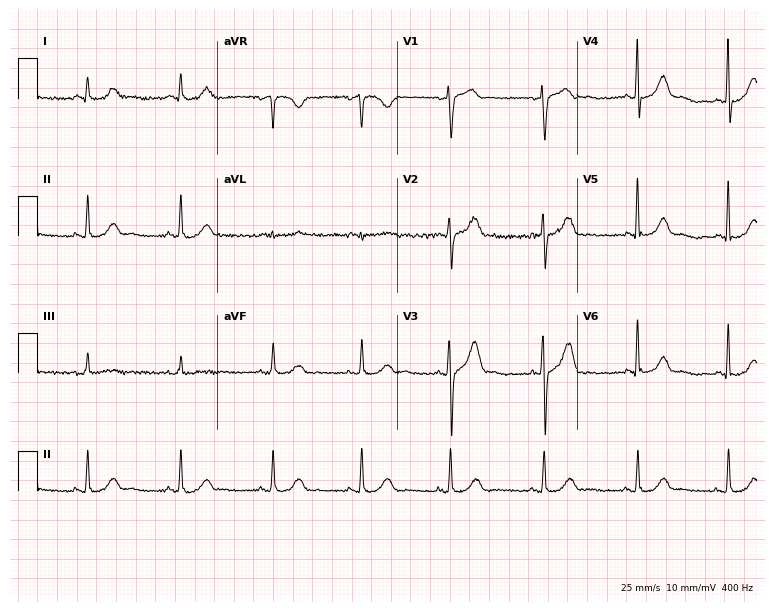
Resting 12-lead electrocardiogram (7.3-second recording at 400 Hz). Patient: a 58-year-old male. Read as a normal ECG.